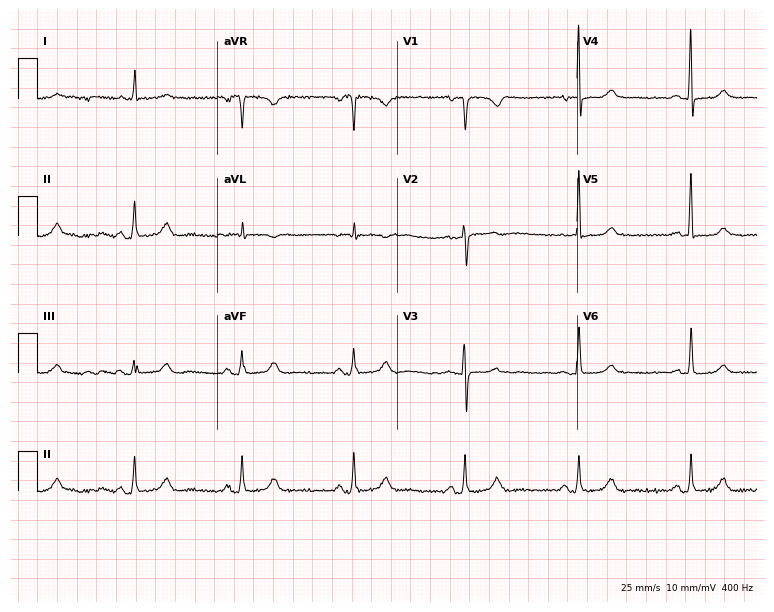
Standard 12-lead ECG recorded from a 75-year-old woman. None of these six findings is recorded: first-degree AV block, right bundle branch block (RBBB), left bundle branch block (LBBB), sinus bradycardia, atrial fibrillation (AF), sinus tachycardia. Only these six findings were labelled.